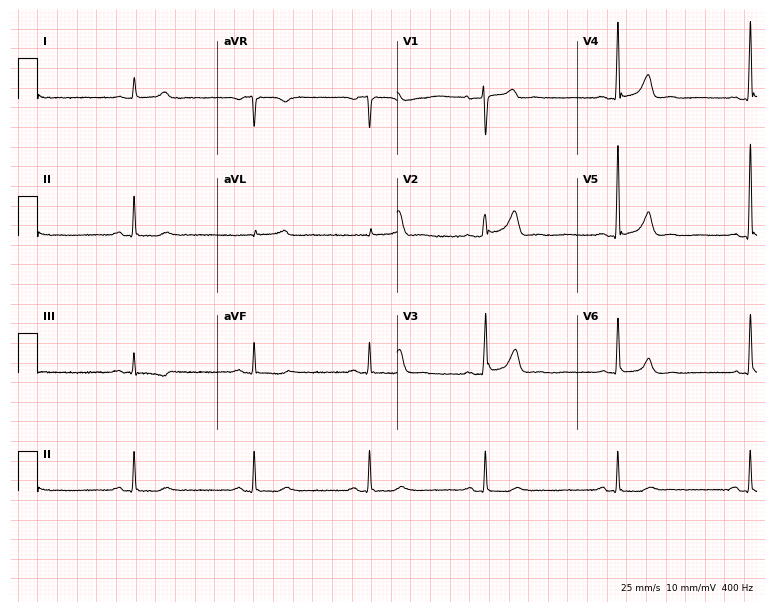
12-lead ECG from a 76-year-old man. Findings include sinus bradycardia (a sinus rate of 50 beats per minute or less).